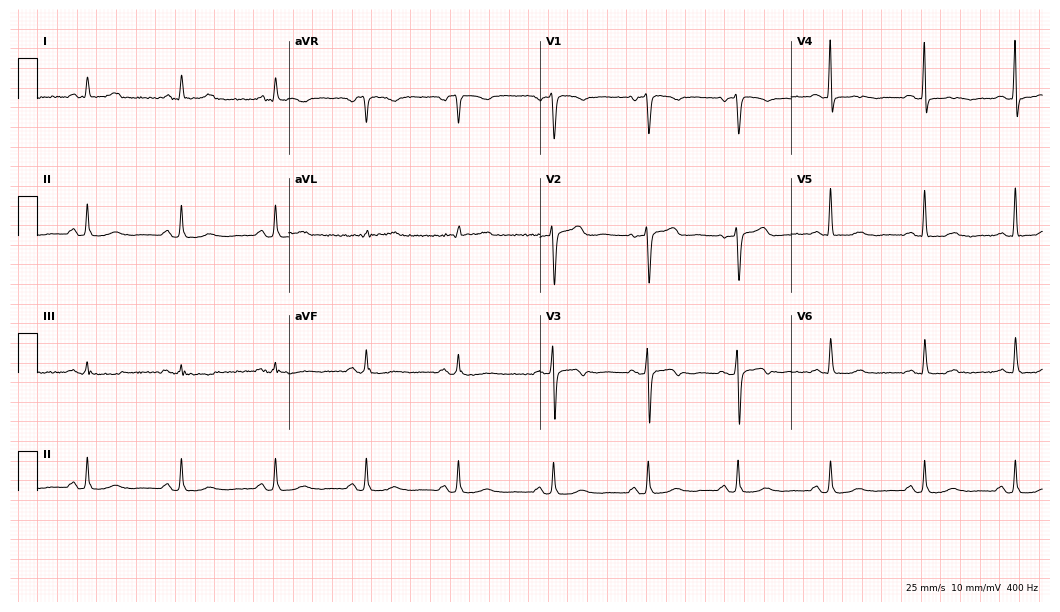
Electrocardiogram, a female patient, 47 years old. Of the six screened findings (first-degree AV block, right bundle branch block (RBBB), left bundle branch block (LBBB), sinus bradycardia, atrial fibrillation (AF), sinus tachycardia), none is recorded.